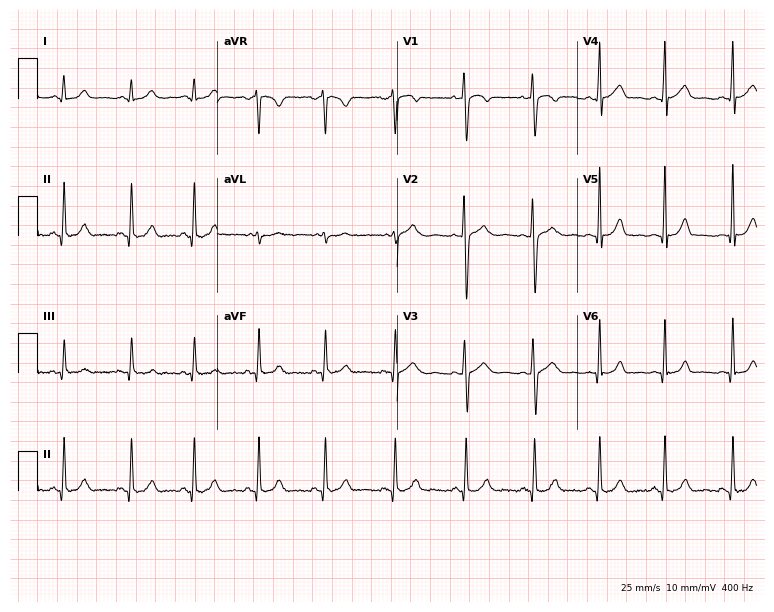
Standard 12-lead ECG recorded from a 26-year-old woman (7.3-second recording at 400 Hz). None of these six findings is recorded: first-degree AV block, right bundle branch block (RBBB), left bundle branch block (LBBB), sinus bradycardia, atrial fibrillation (AF), sinus tachycardia. Other findings, if any, are not listed.